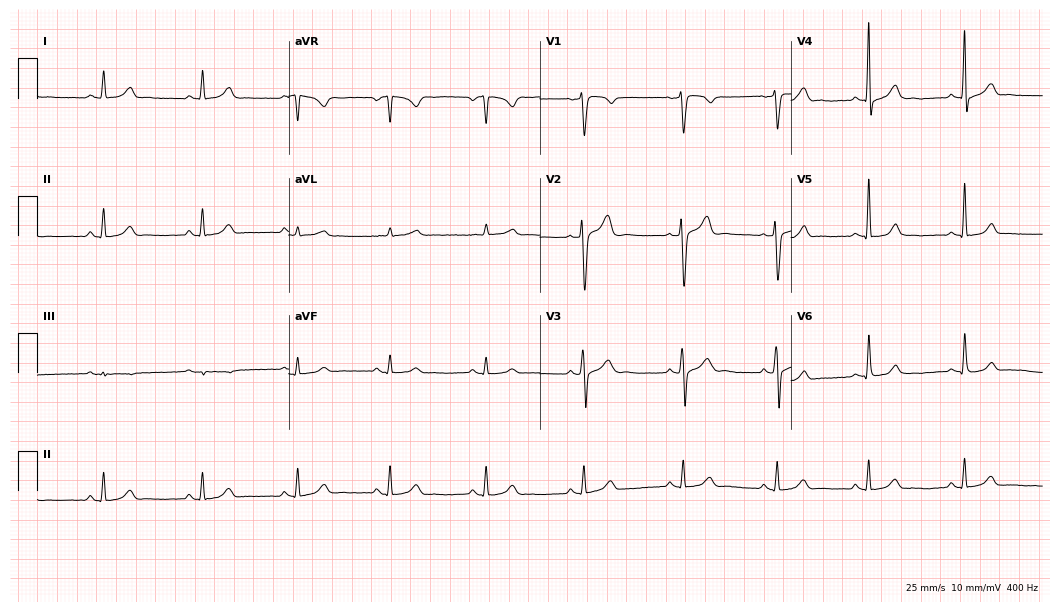
ECG (10.2-second recording at 400 Hz) — a male, 48 years old. Labelled as a normal ECG.